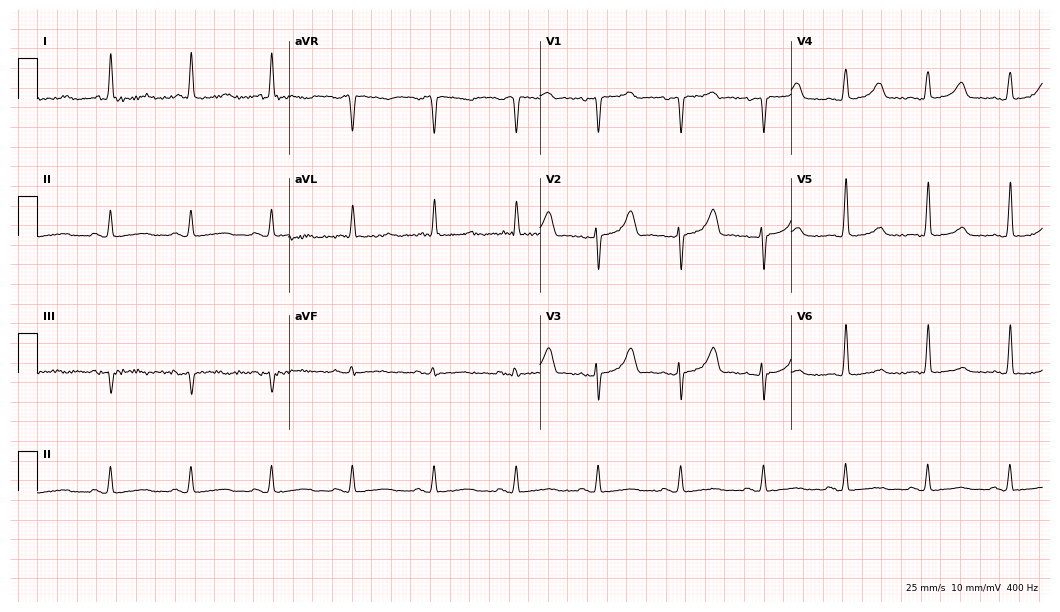
12-lead ECG from a 64-year-old woman (10.2-second recording at 400 Hz). Recorded interpretation: within normal limits.